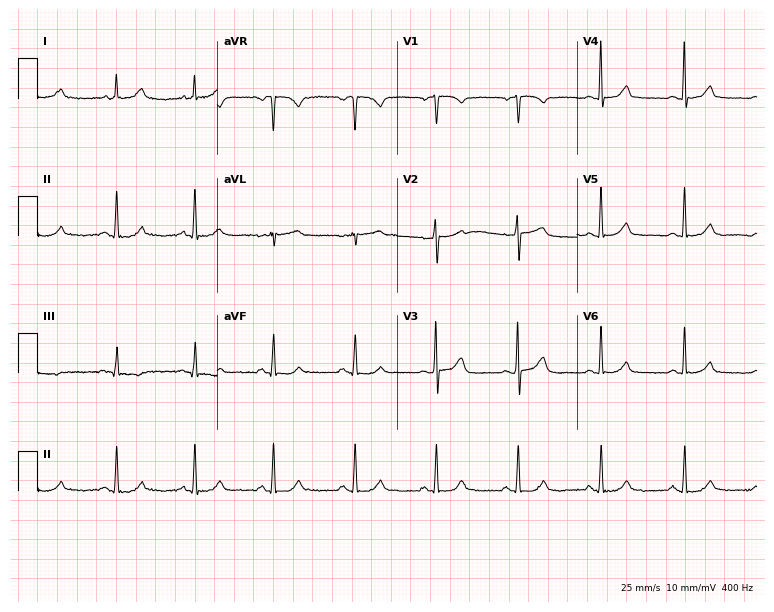
12-lead ECG from a woman, 57 years old. Labelled as a normal ECG.